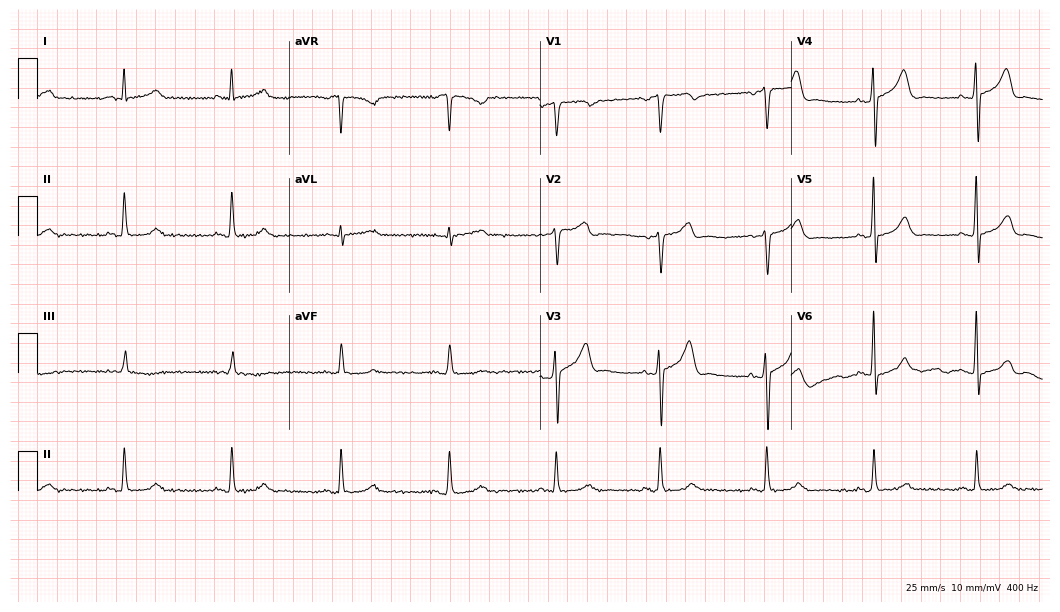
Resting 12-lead electrocardiogram. Patient: a 58-year-old male. Read as a normal ECG.